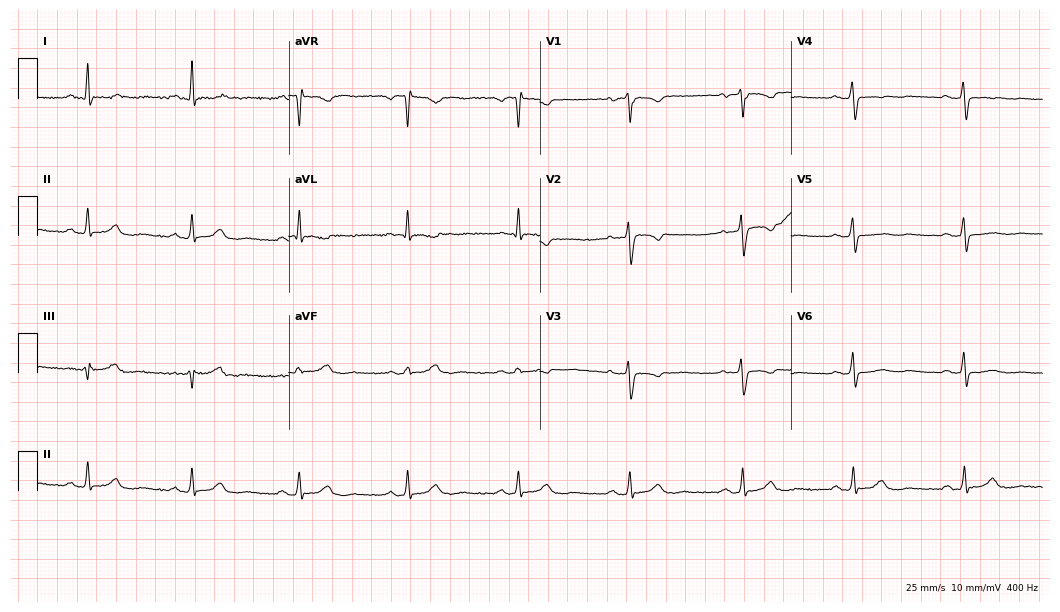
Standard 12-lead ECG recorded from a 50-year-old female patient. None of these six findings is recorded: first-degree AV block, right bundle branch block, left bundle branch block, sinus bradycardia, atrial fibrillation, sinus tachycardia.